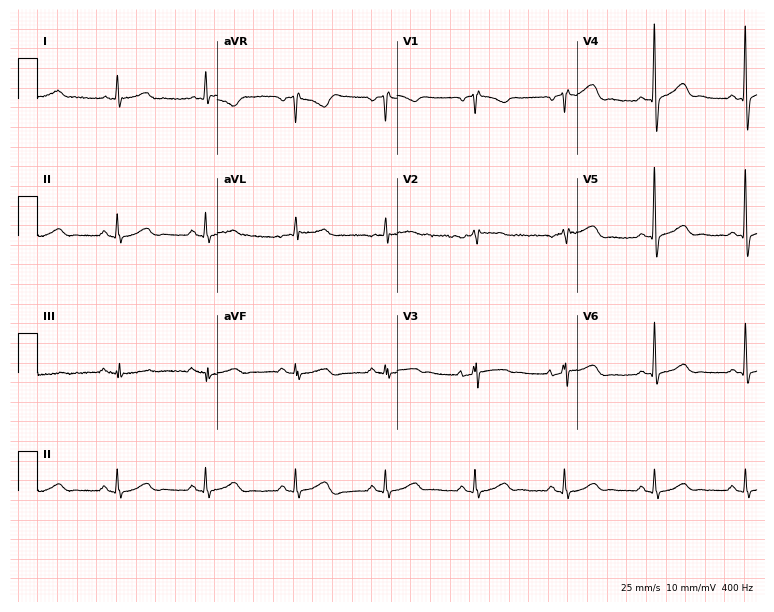
Standard 12-lead ECG recorded from a man, 78 years old (7.3-second recording at 400 Hz). None of these six findings is recorded: first-degree AV block, right bundle branch block (RBBB), left bundle branch block (LBBB), sinus bradycardia, atrial fibrillation (AF), sinus tachycardia.